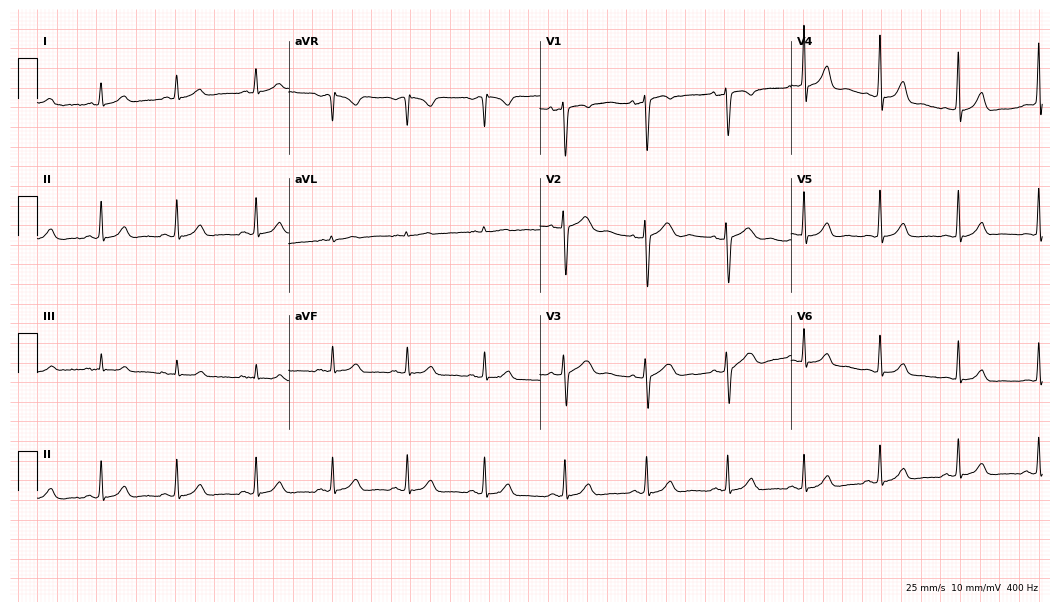
Standard 12-lead ECG recorded from a 25-year-old female patient (10.2-second recording at 400 Hz). Read as a normal ECG.